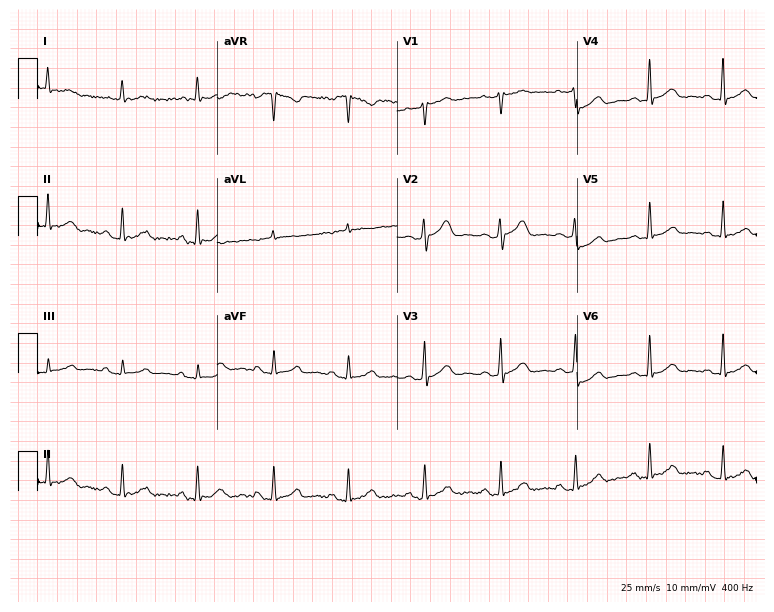
Resting 12-lead electrocardiogram (7.3-second recording at 400 Hz). Patient: a male, 50 years old. None of these six findings is recorded: first-degree AV block, right bundle branch block, left bundle branch block, sinus bradycardia, atrial fibrillation, sinus tachycardia.